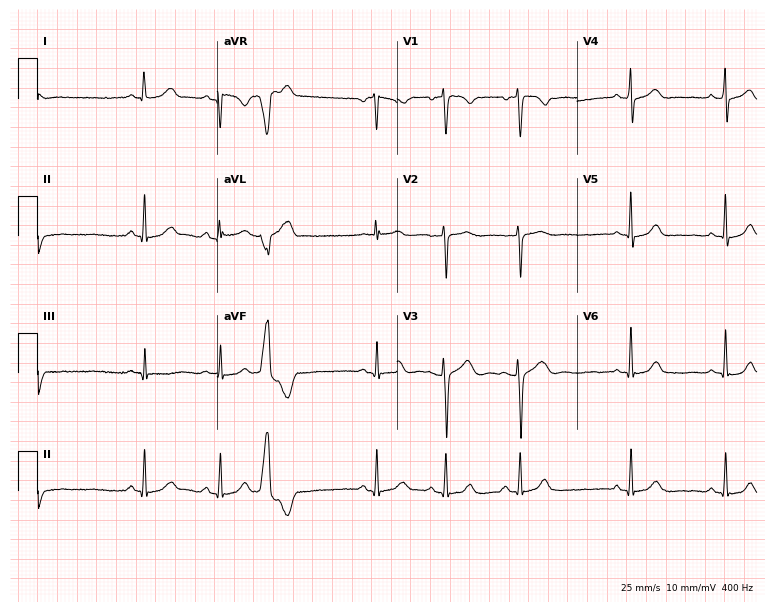
Electrocardiogram (7.3-second recording at 400 Hz), a 27-year-old woman. Of the six screened findings (first-degree AV block, right bundle branch block (RBBB), left bundle branch block (LBBB), sinus bradycardia, atrial fibrillation (AF), sinus tachycardia), none is recorded.